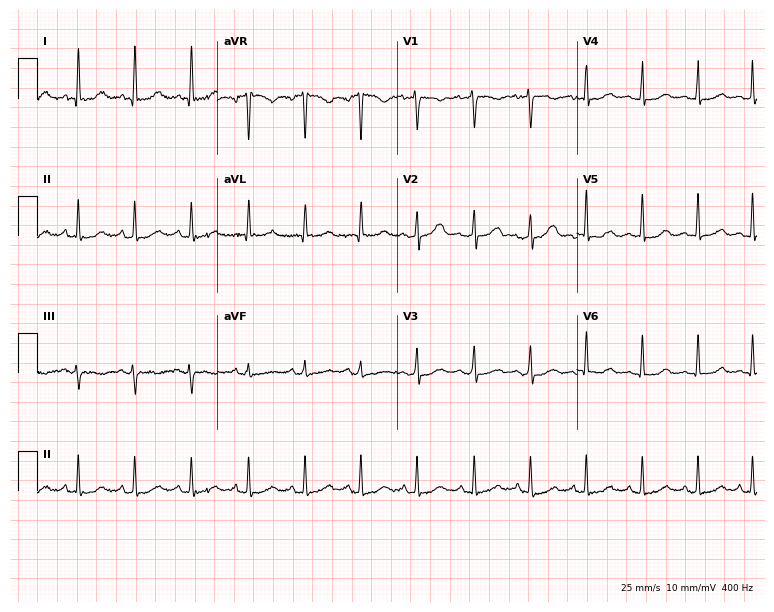
12-lead ECG from a 44-year-old female patient. Shows sinus tachycardia (a sinus rate of 100 beats per minute or more).